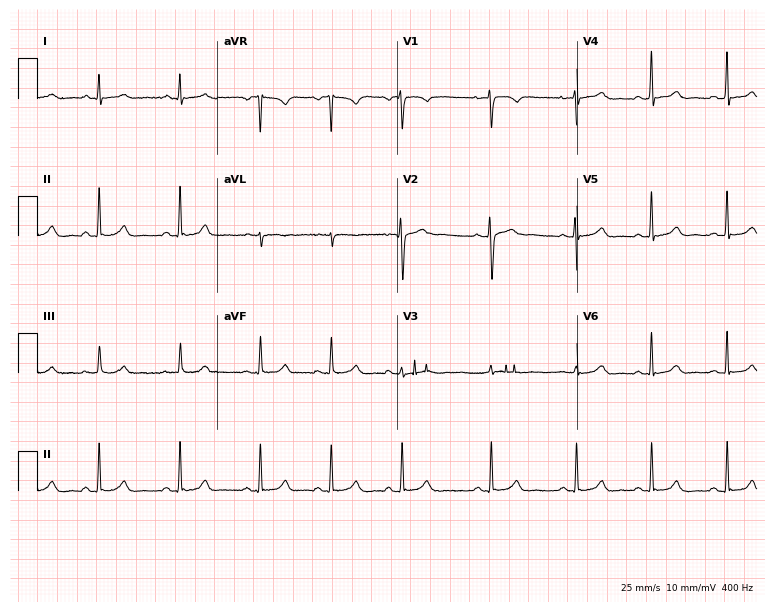
12-lead ECG from a 28-year-old woman. Recorded interpretation: within normal limits.